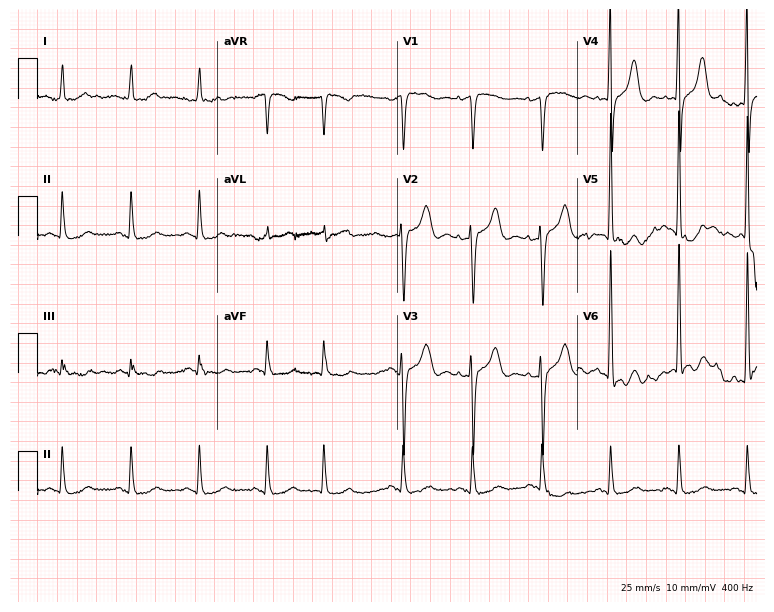
Electrocardiogram (7.3-second recording at 400 Hz), a female, 83 years old. Of the six screened findings (first-degree AV block, right bundle branch block, left bundle branch block, sinus bradycardia, atrial fibrillation, sinus tachycardia), none is recorded. Other findings, if any, are not listed.